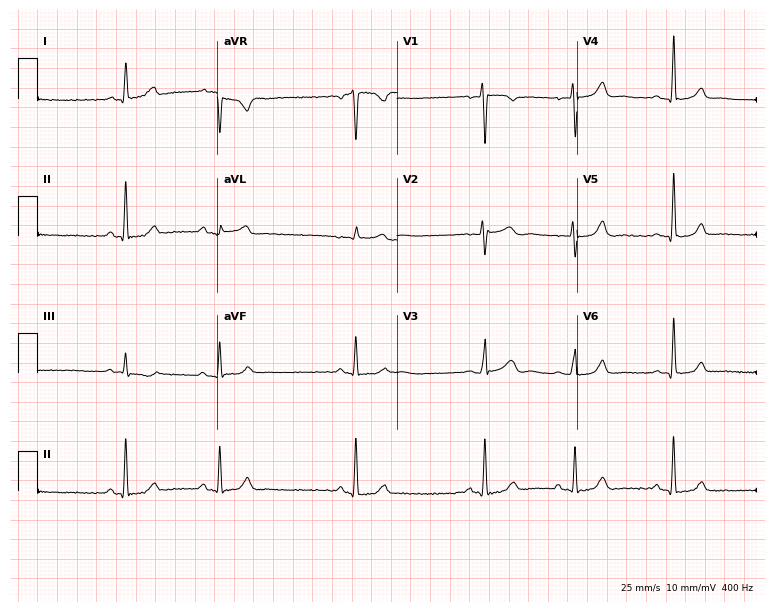
ECG (7.3-second recording at 400 Hz) — a 34-year-old woman. Screened for six findings — first-degree AV block, right bundle branch block (RBBB), left bundle branch block (LBBB), sinus bradycardia, atrial fibrillation (AF), sinus tachycardia — none is recorded.